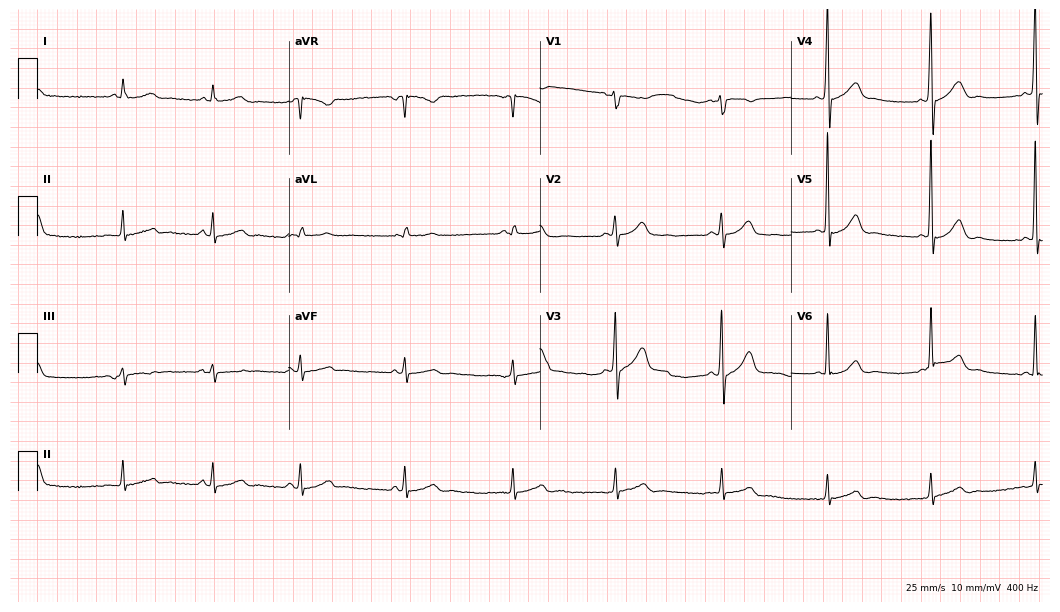
12-lead ECG from a 59-year-old man (10.2-second recording at 400 Hz). No first-degree AV block, right bundle branch block (RBBB), left bundle branch block (LBBB), sinus bradycardia, atrial fibrillation (AF) or sinus tachycardia recorded for this tracing. Only these six findings were labelled.